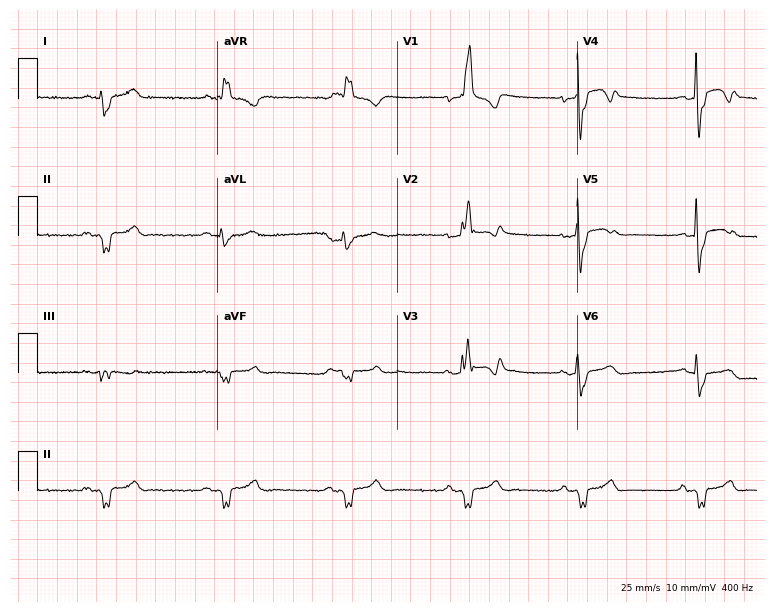
Resting 12-lead electrocardiogram (7.3-second recording at 400 Hz). Patient: a male, 54 years old. The tracing shows right bundle branch block, sinus bradycardia (a sinus rate of 50 beats per minute or less).